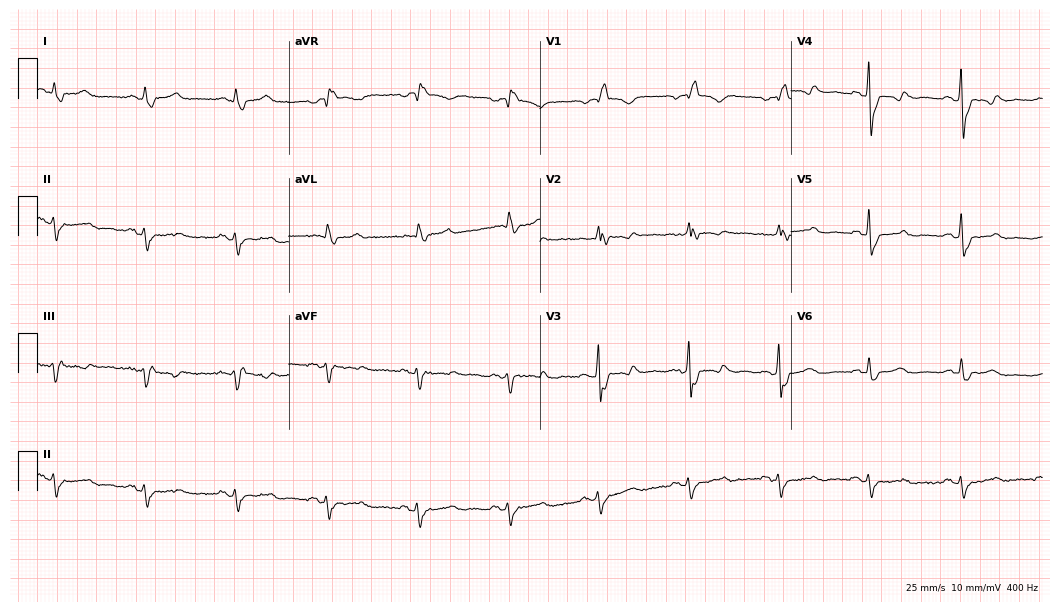
Resting 12-lead electrocardiogram (10.2-second recording at 400 Hz). Patient: a 75-year-old woman. The tracing shows right bundle branch block.